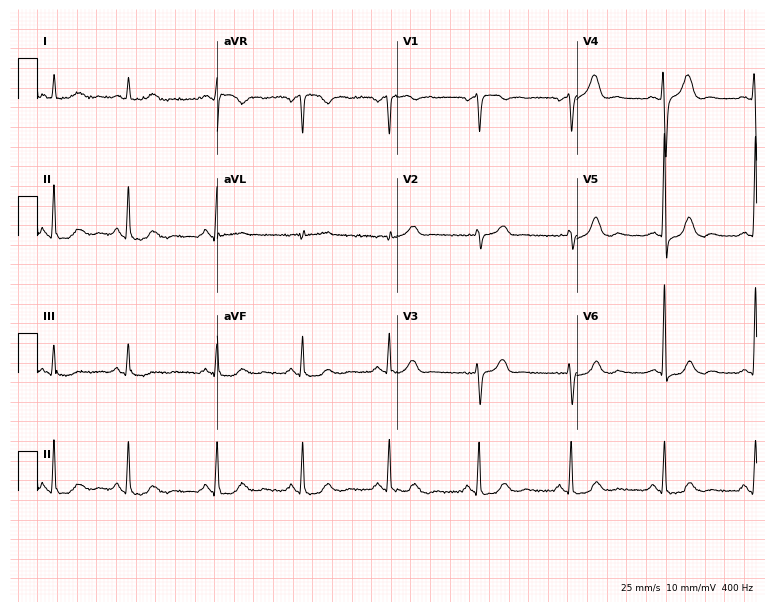
Standard 12-lead ECG recorded from a woman, 70 years old. Read as a normal ECG.